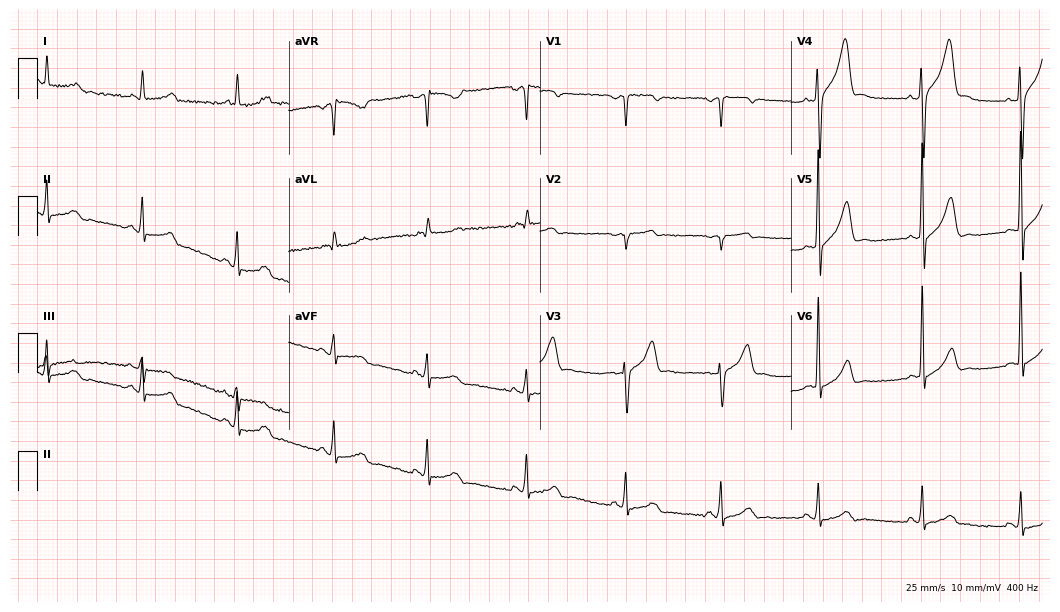
Resting 12-lead electrocardiogram. Patient: a 41-year-old male. Read as a normal ECG.